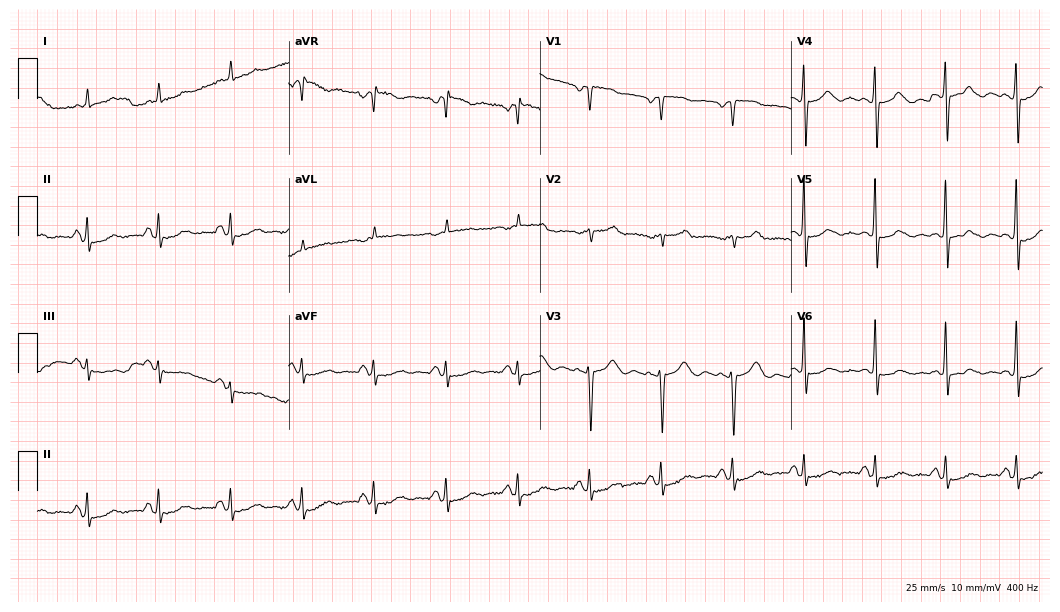
12-lead ECG (10.2-second recording at 400 Hz) from an 80-year-old woman. Screened for six findings — first-degree AV block, right bundle branch block, left bundle branch block, sinus bradycardia, atrial fibrillation, sinus tachycardia — none is recorded. Other findings, if any, are not listed.